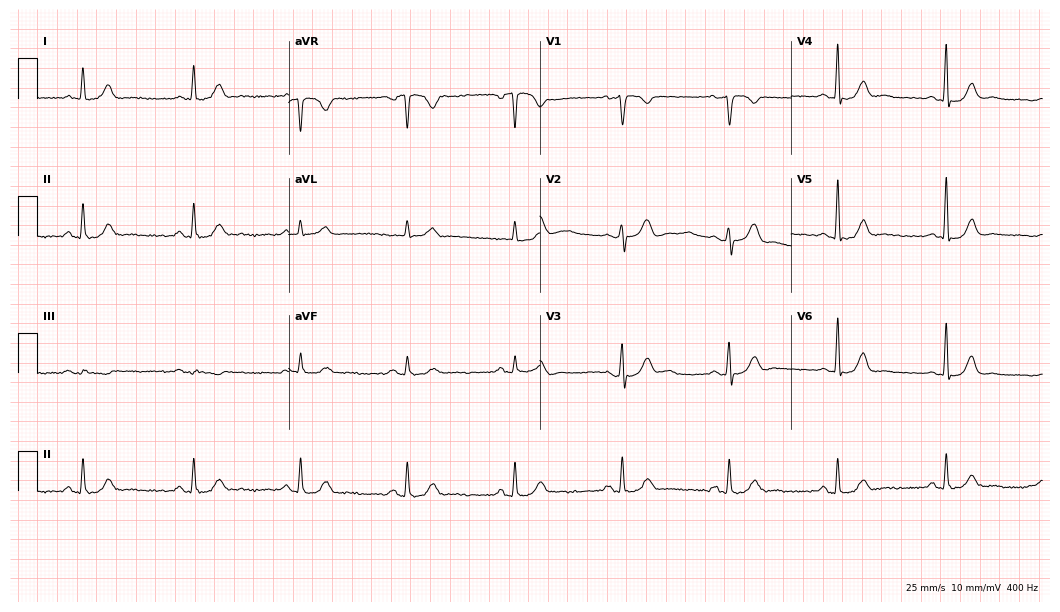
12-lead ECG from a 62-year-old man. Labelled as a normal ECG.